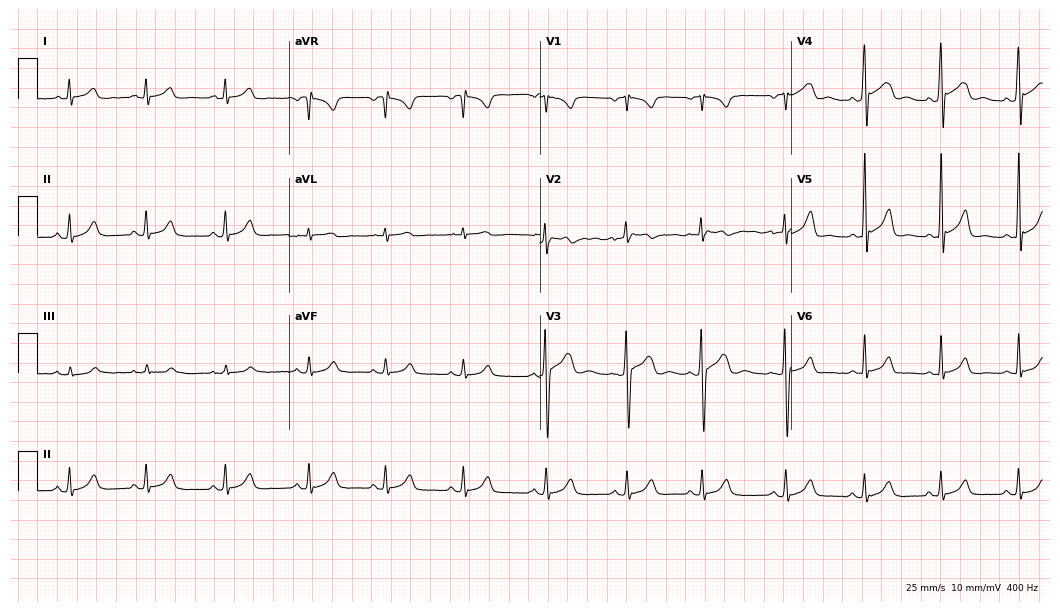
Resting 12-lead electrocardiogram. Patient: a 20-year-old male. Read as a normal ECG.